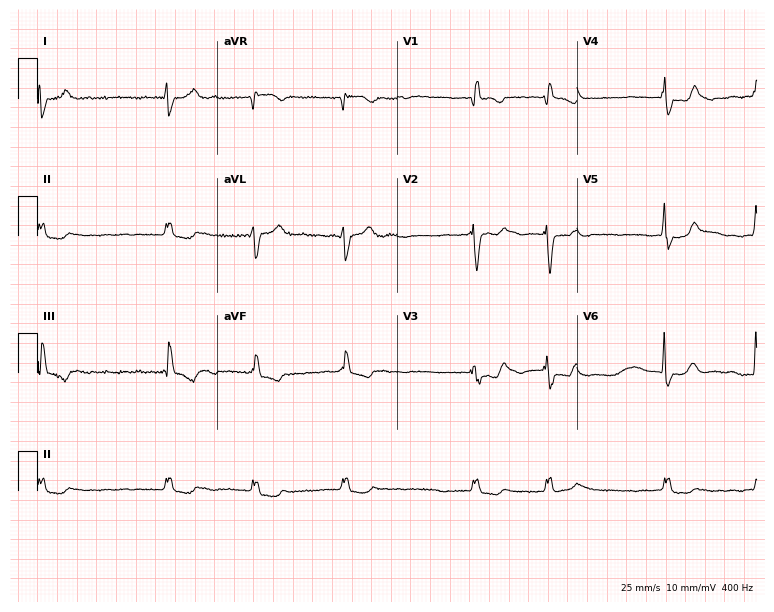
12-lead ECG from an 80-year-old woman. Findings include right bundle branch block, atrial fibrillation.